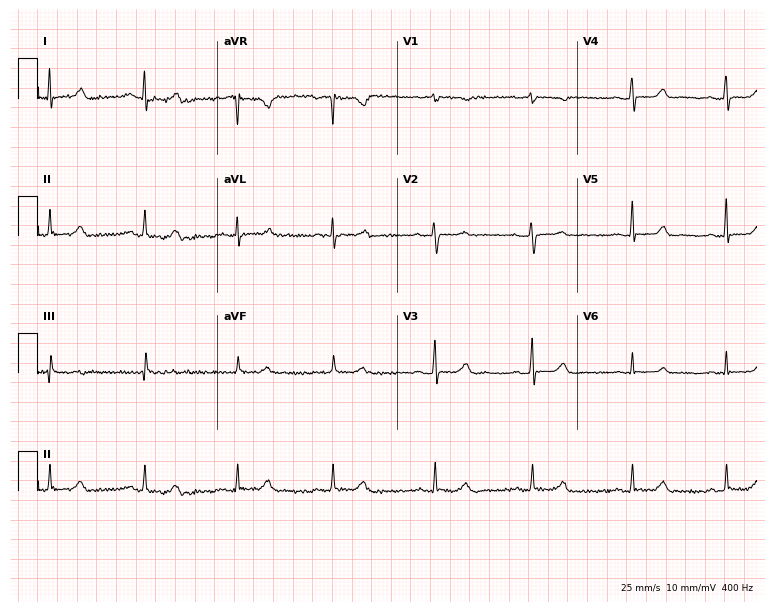
Standard 12-lead ECG recorded from a female patient, 50 years old. Read as a normal ECG.